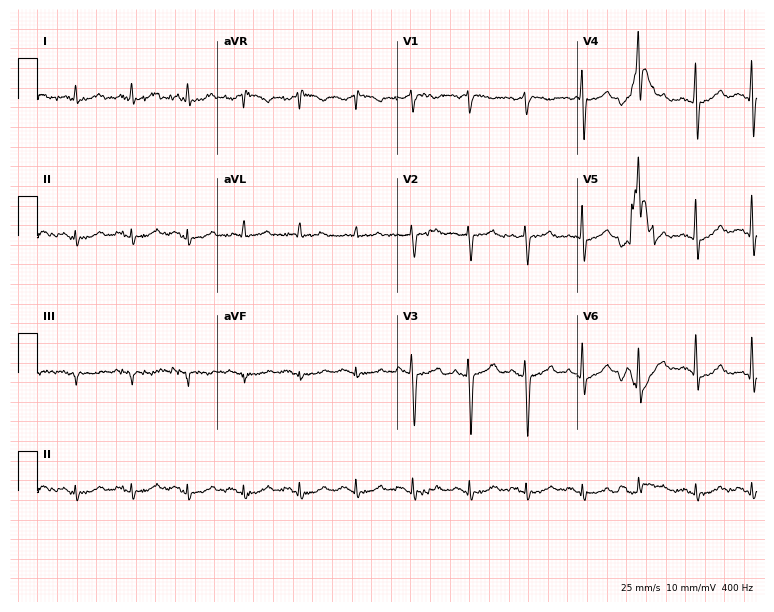
Resting 12-lead electrocardiogram. Patient: a male, 66 years old. Read as a normal ECG.